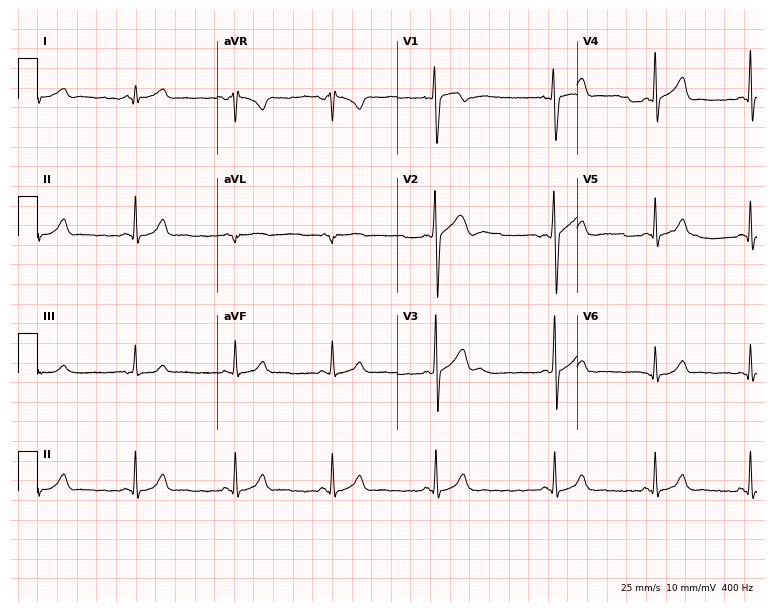
12-lead ECG from a male, 31 years old (7.3-second recording at 400 Hz). Recorded interpretation: within normal limits.